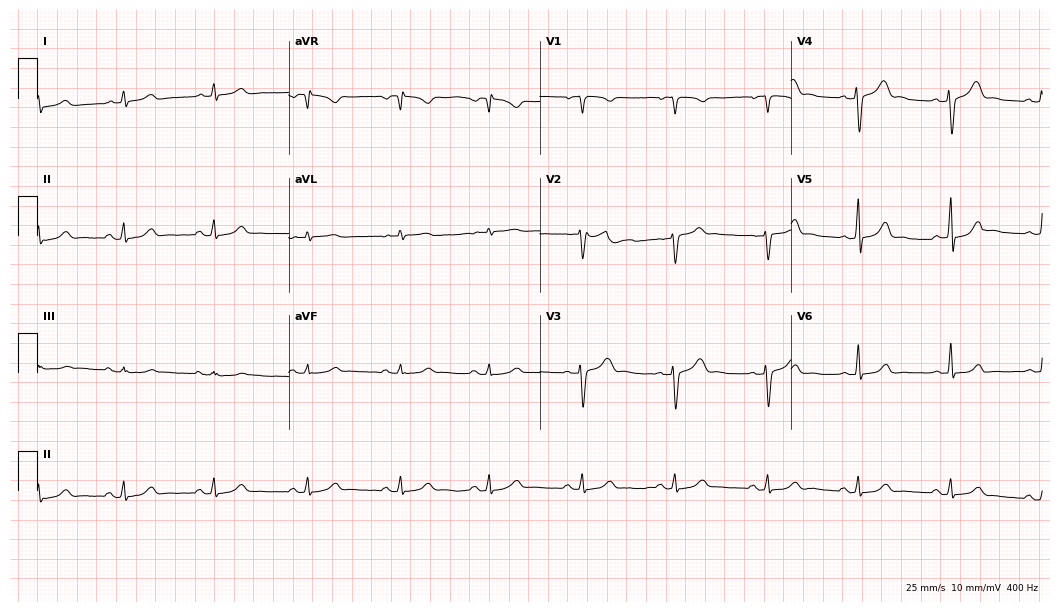
Electrocardiogram (10.2-second recording at 400 Hz), a 30-year-old female patient. Overall reading on record: normal ECG.